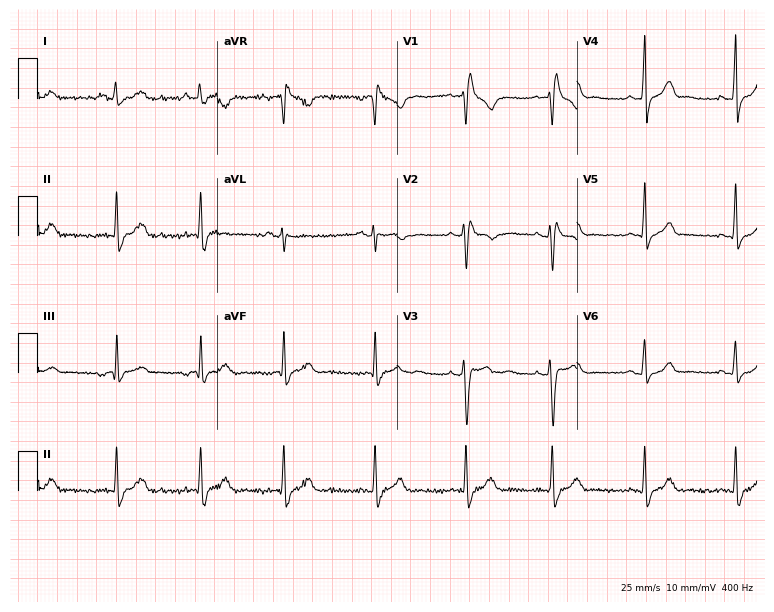
12-lead ECG (7.3-second recording at 400 Hz) from a 22-year-old female patient. Findings include right bundle branch block (RBBB).